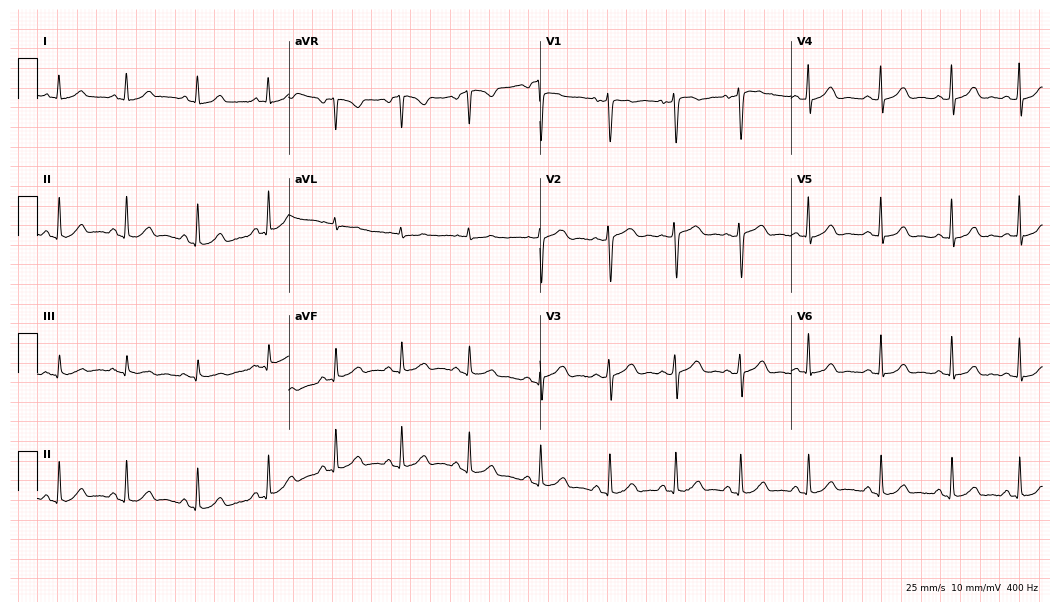
12-lead ECG from a female, 47 years old. No first-degree AV block, right bundle branch block, left bundle branch block, sinus bradycardia, atrial fibrillation or sinus tachycardia recorded for this tracing.